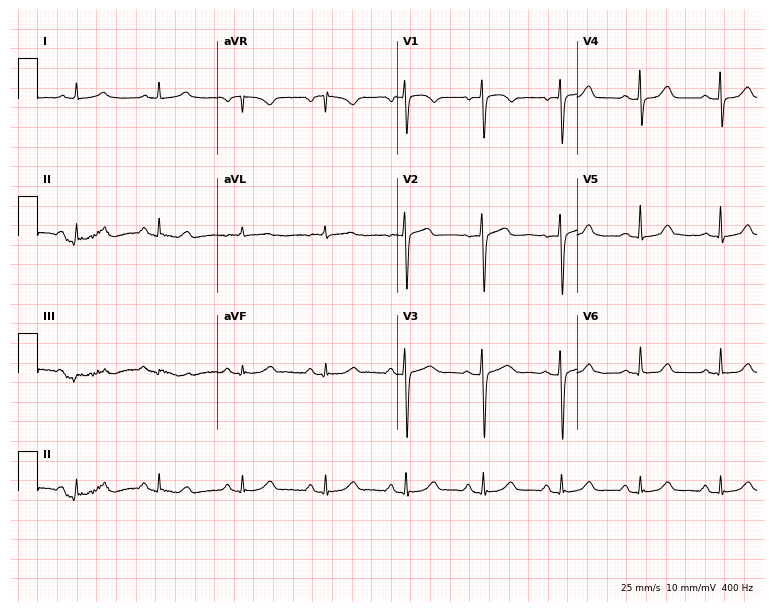
Resting 12-lead electrocardiogram (7.3-second recording at 400 Hz). Patient: a 60-year-old female. None of these six findings is recorded: first-degree AV block, right bundle branch block, left bundle branch block, sinus bradycardia, atrial fibrillation, sinus tachycardia.